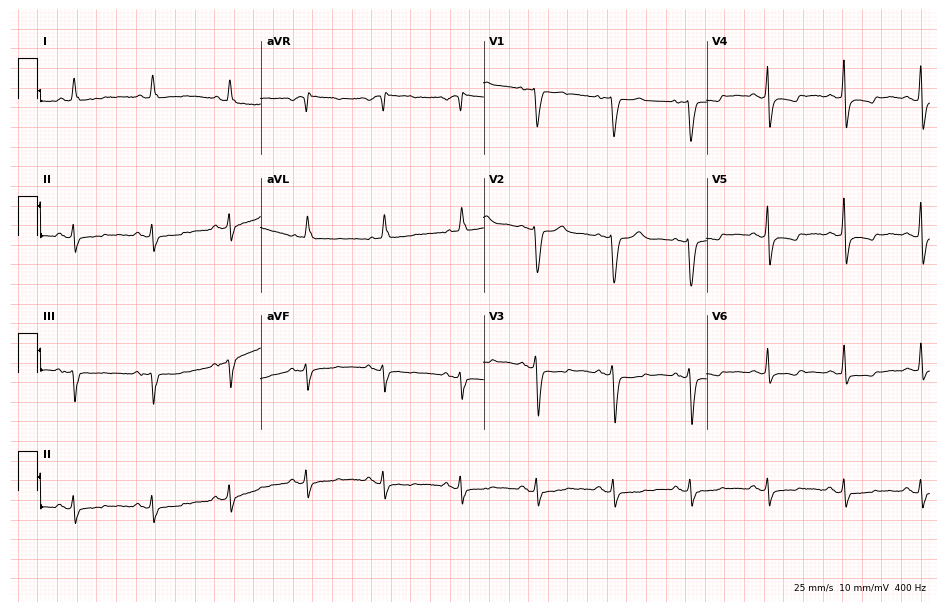
Electrocardiogram, a 70-year-old female. Of the six screened findings (first-degree AV block, right bundle branch block (RBBB), left bundle branch block (LBBB), sinus bradycardia, atrial fibrillation (AF), sinus tachycardia), none is recorded.